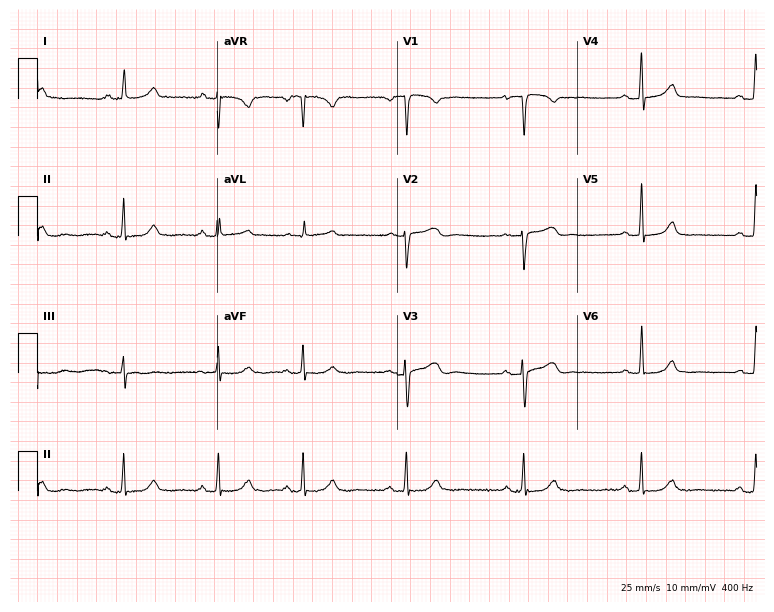
ECG (7.3-second recording at 400 Hz) — a 31-year-old female patient. Screened for six findings — first-degree AV block, right bundle branch block, left bundle branch block, sinus bradycardia, atrial fibrillation, sinus tachycardia — none is recorded. Findings outside these six are not listed.